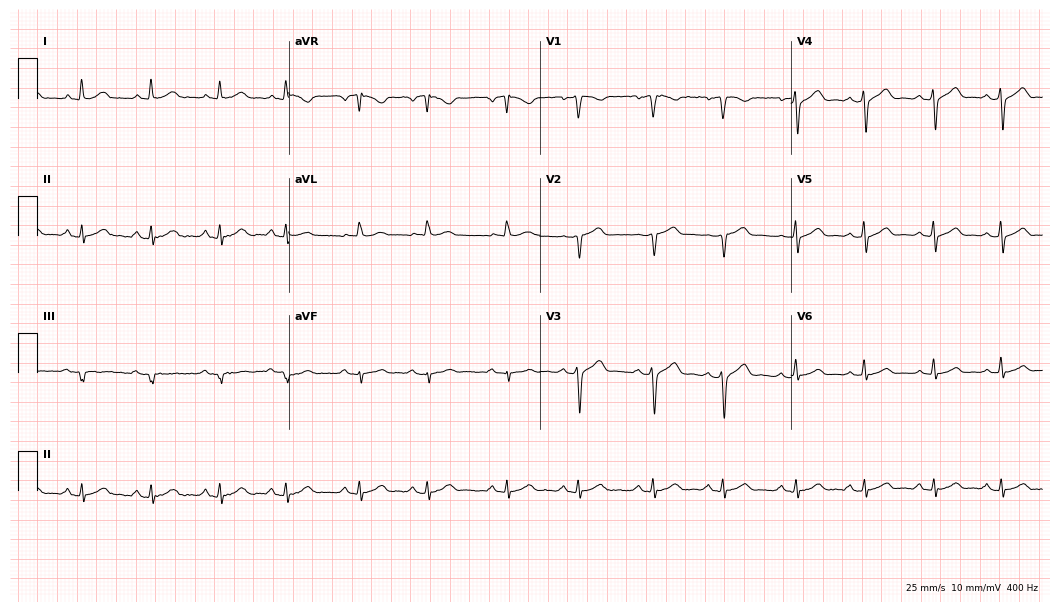
12-lead ECG from a 47-year-old man. No first-degree AV block, right bundle branch block, left bundle branch block, sinus bradycardia, atrial fibrillation or sinus tachycardia recorded for this tracing.